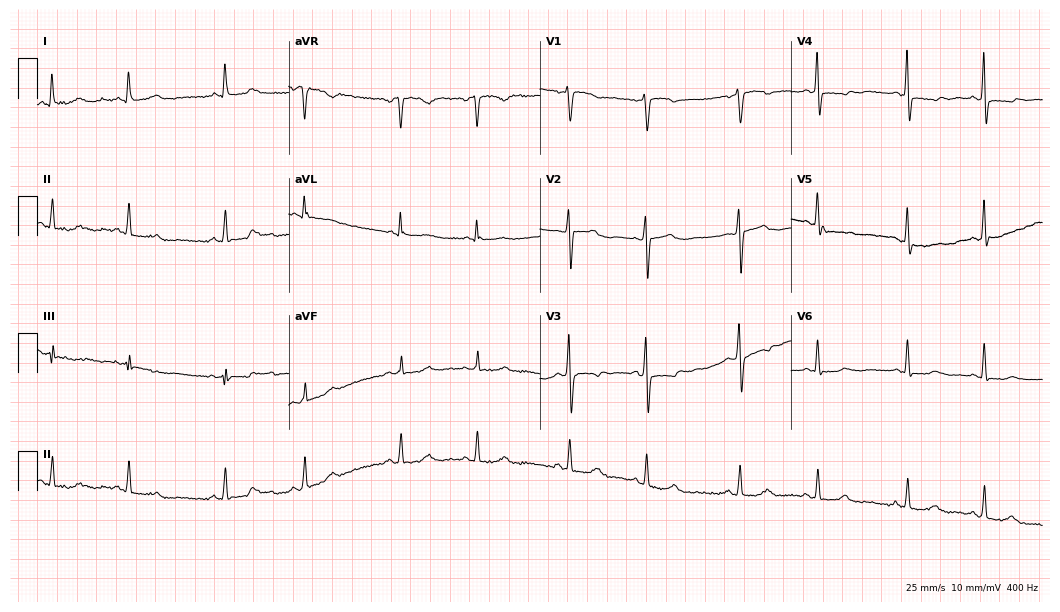
Electrocardiogram (10.2-second recording at 400 Hz), a woman, 49 years old. Of the six screened findings (first-degree AV block, right bundle branch block, left bundle branch block, sinus bradycardia, atrial fibrillation, sinus tachycardia), none is recorded.